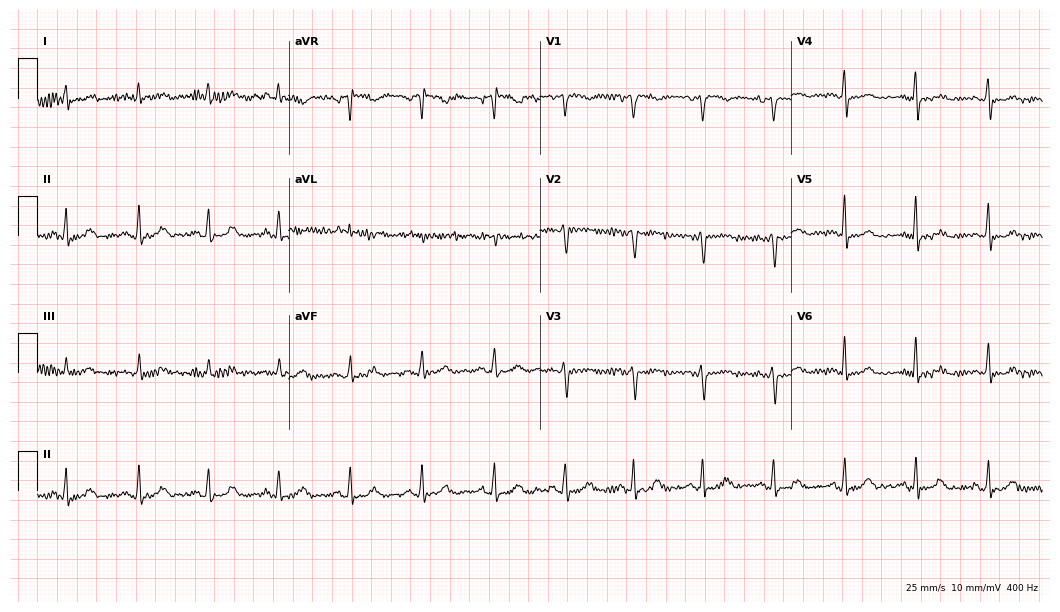
Electrocardiogram, a 52-year-old female. Of the six screened findings (first-degree AV block, right bundle branch block, left bundle branch block, sinus bradycardia, atrial fibrillation, sinus tachycardia), none is recorded. Only these six findings were labelled.